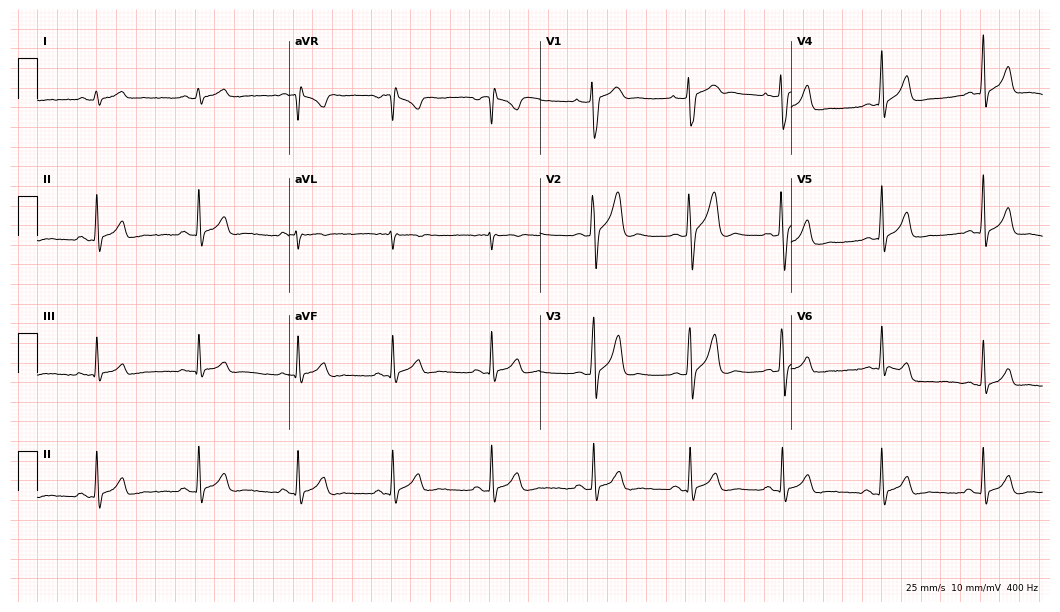
12-lead ECG from a 31-year-old male (10.2-second recording at 400 Hz). No first-degree AV block, right bundle branch block, left bundle branch block, sinus bradycardia, atrial fibrillation or sinus tachycardia recorded for this tracing. Only these six findings were labelled.